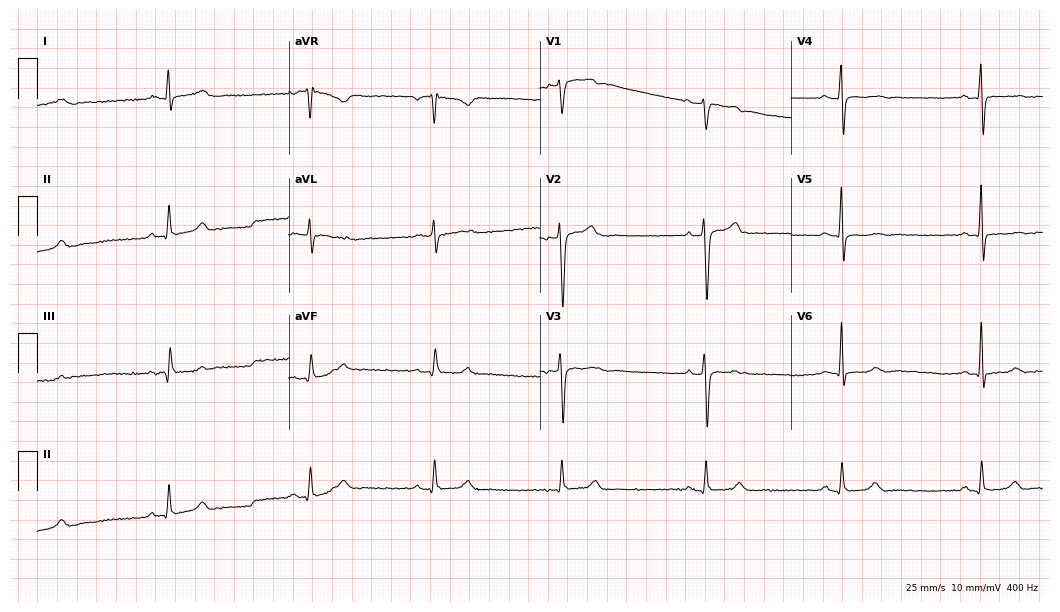
Standard 12-lead ECG recorded from a 53-year-old male (10.2-second recording at 400 Hz). The tracing shows sinus bradycardia (a sinus rate of 50 beats per minute or less).